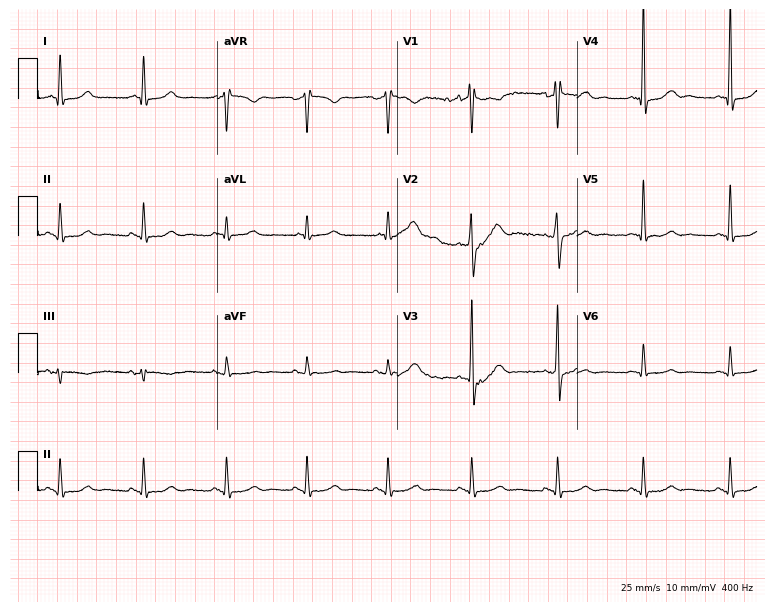
ECG (7.3-second recording at 400 Hz) — a male patient, 47 years old. Screened for six findings — first-degree AV block, right bundle branch block (RBBB), left bundle branch block (LBBB), sinus bradycardia, atrial fibrillation (AF), sinus tachycardia — none is recorded.